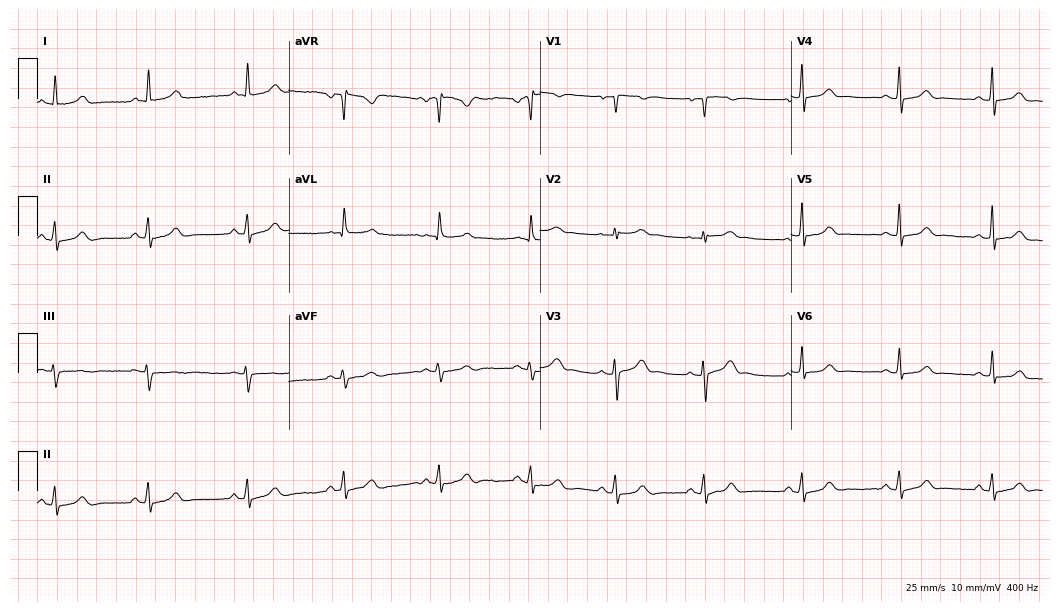
12-lead ECG from a 36-year-old female patient. Labelled as a normal ECG.